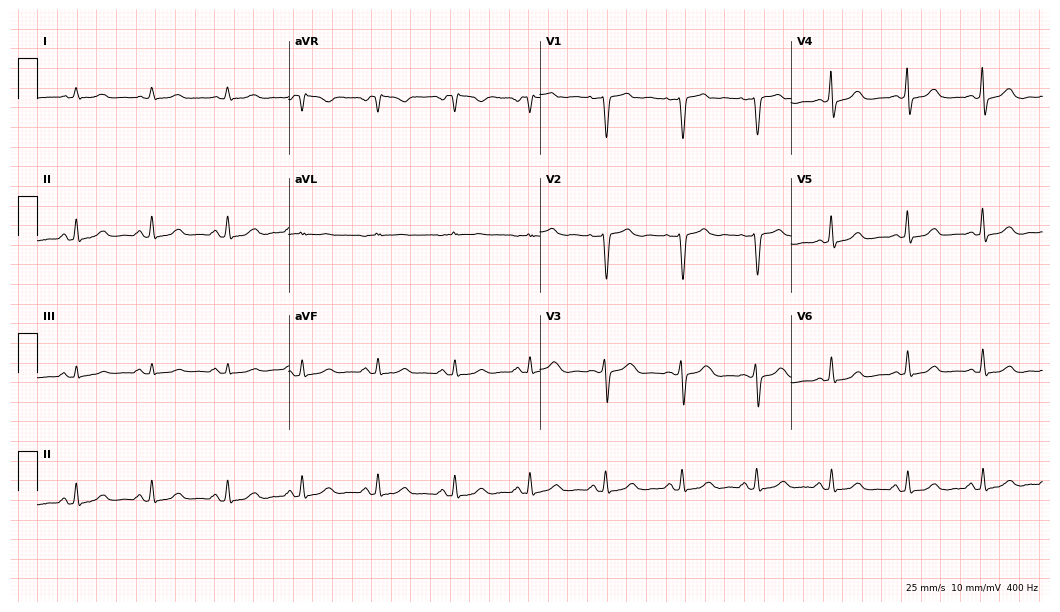
Electrocardiogram, a female, 48 years old. Overall reading on record: normal ECG.